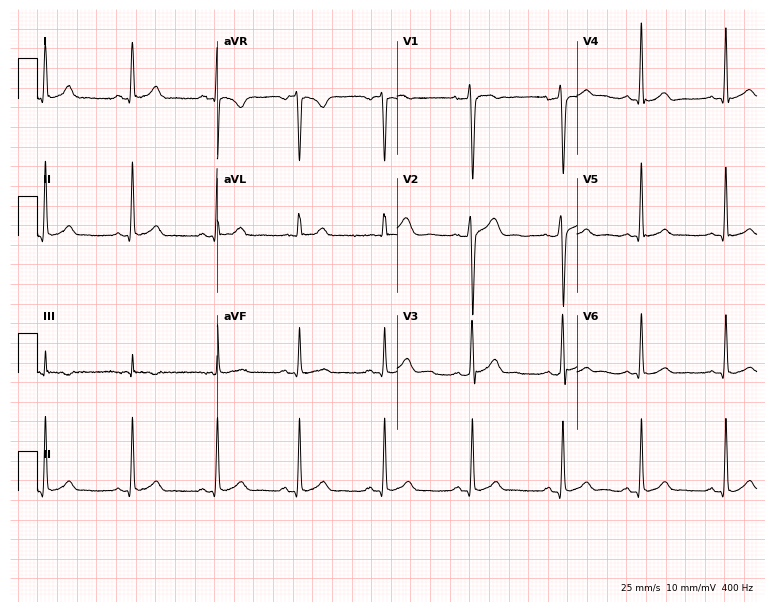
12-lead ECG from a man, 19 years old (7.3-second recording at 400 Hz). Recorded interpretation: within normal limits.